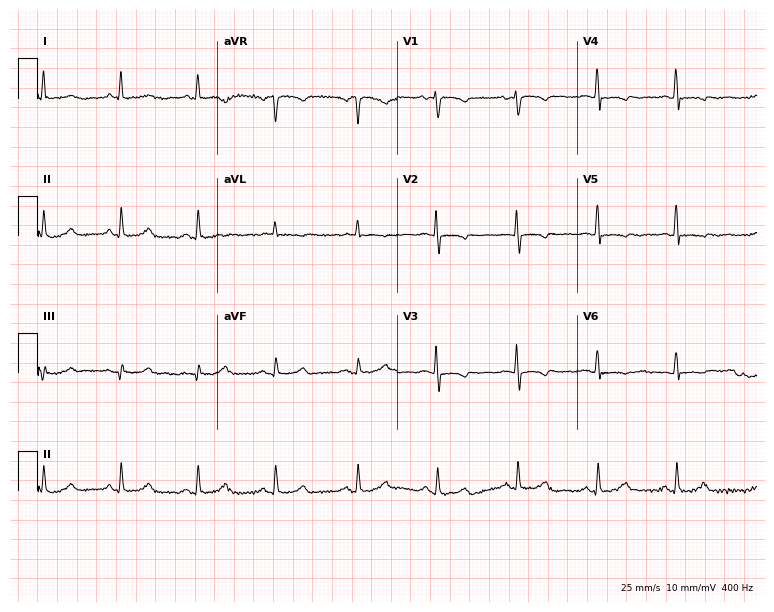
Resting 12-lead electrocardiogram (7.3-second recording at 400 Hz). Patient: a woman, 42 years old. None of these six findings is recorded: first-degree AV block, right bundle branch block, left bundle branch block, sinus bradycardia, atrial fibrillation, sinus tachycardia.